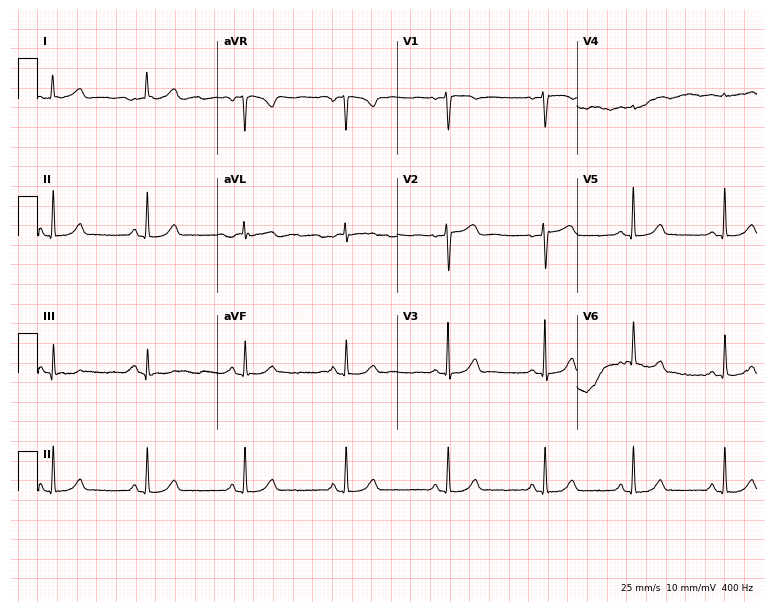
12-lead ECG from a female, 43 years old. Recorded interpretation: within normal limits.